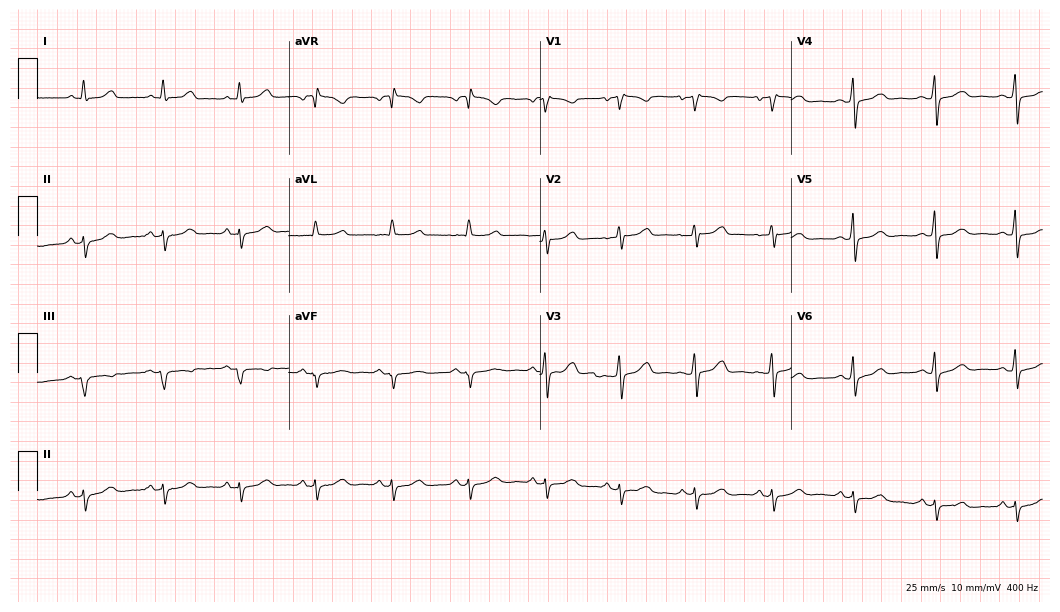
Standard 12-lead ECG recorded from a female, 46 years old (10.2-second recording at 400 Hz). Read as a normal ECG.